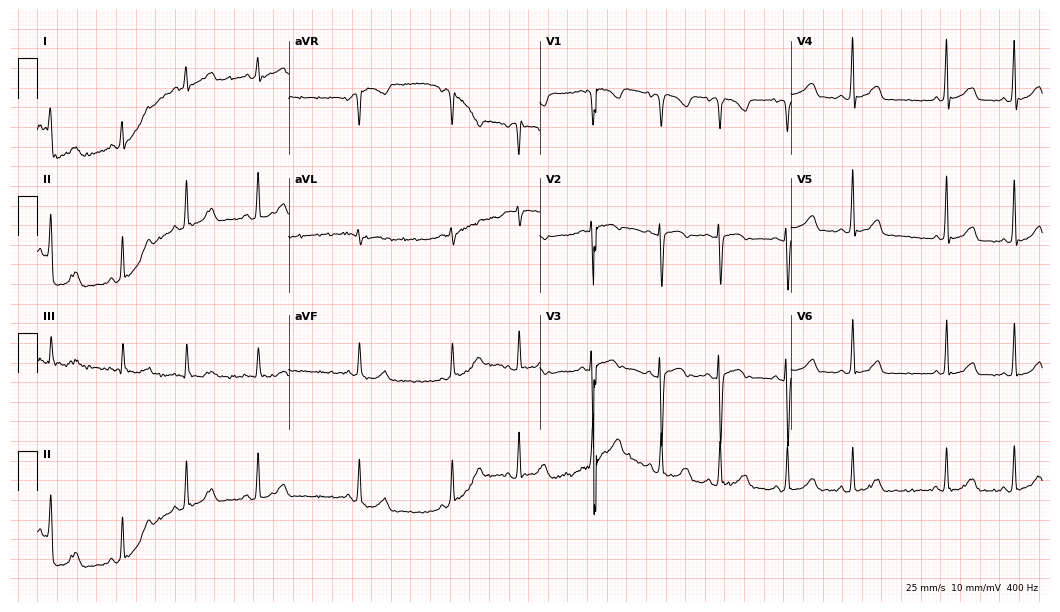
ECG — a female, 53 years old. Labelled as a normal ECG.